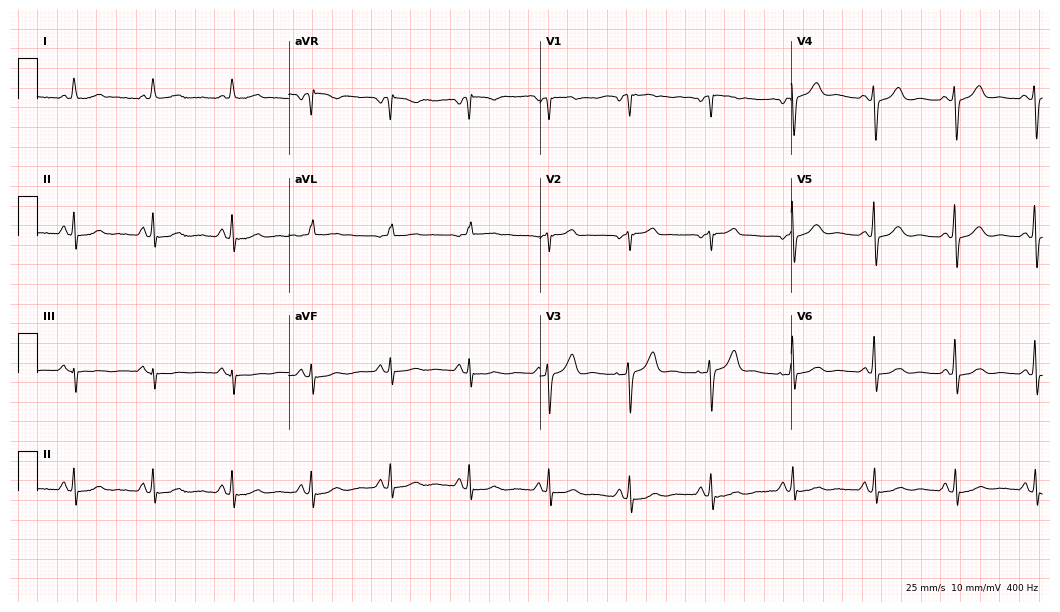
Electrocardiogram, an 85-year-old female patient. Of the six screened findings (first-degree AV block, right bundle branch block, left bundle branch block, sinus bradycardia, atrial fibrillation, sinus tachycardia), none is recorded.